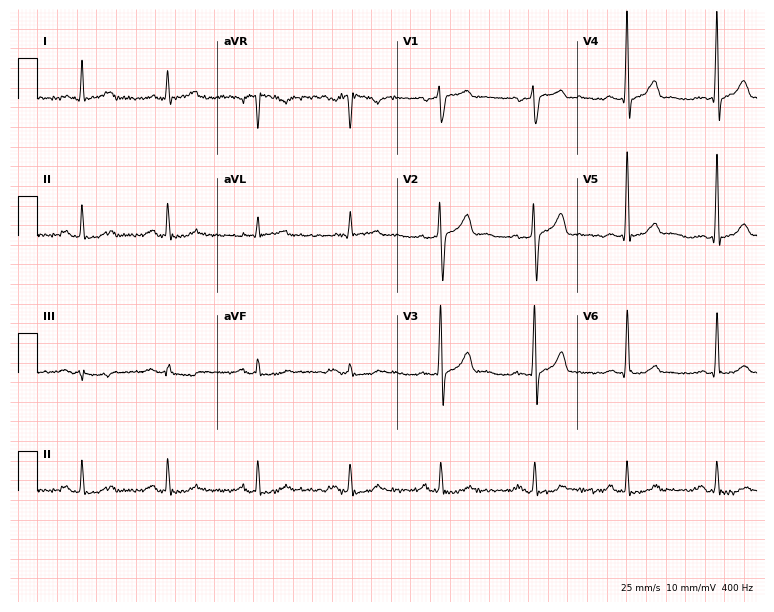
12-lead ECG (7.3-second recording at 400 Hz) from a 64-year-old male patient. Screened for six findings — first-degree AV block, right bundle branch block, left bundle branch block, sinus bradycardia, atrial fibrillation, sinus tachycardia — none is recorded.